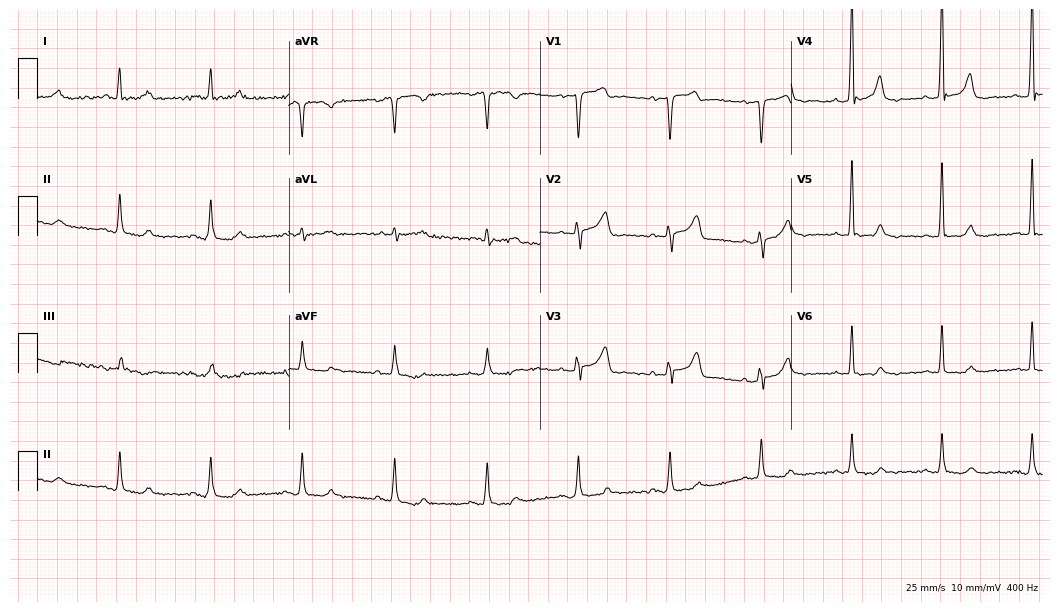
Electrocardiogram, a 60-year-old male patient. Overall reading on record: normal ECG.